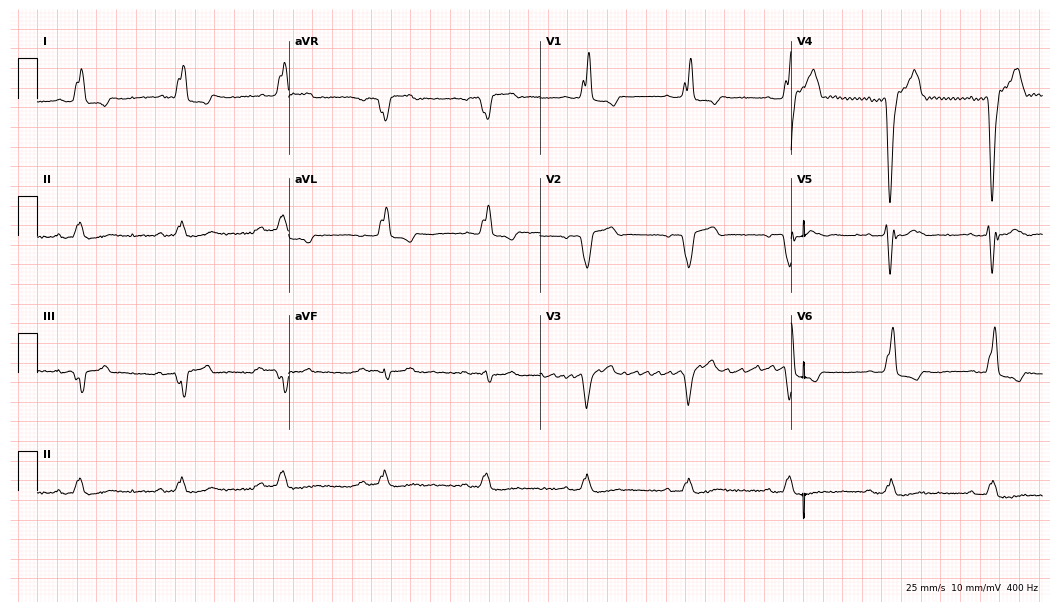
Standard 12-lead ECG recorded from a 63-year-old male. None of these six findings is recorded: first-degree AV block, right bundle branch block, left bundle branch block, sinus bradycardia, atrial fibrillation, sinus tachycardia. Other findings, if any, are not listed.